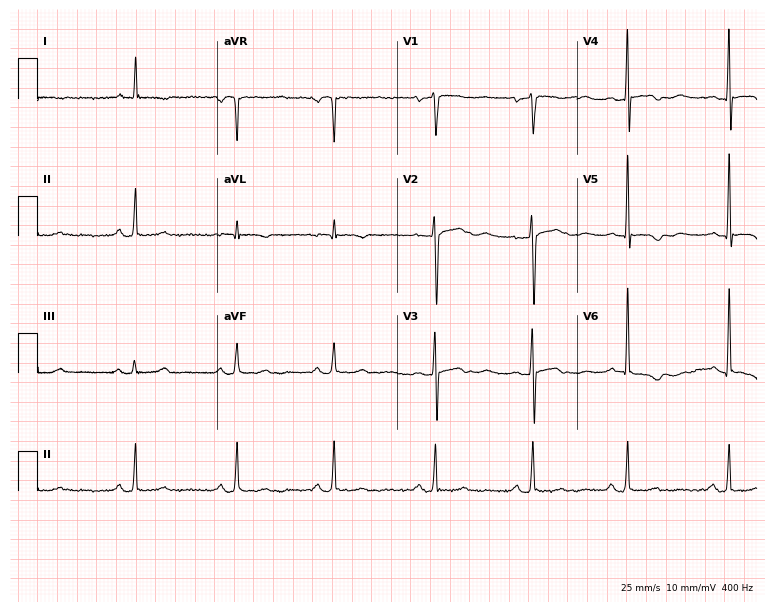
12-lead ECG from a 56-year-old woman (7.3-second recording at 400 Hz). No first-degree AV block, right bundle branch block, left bundle branch block, sinus bradycardia, atrial fibrillation or sinus tachycardia recorded for this tracing.